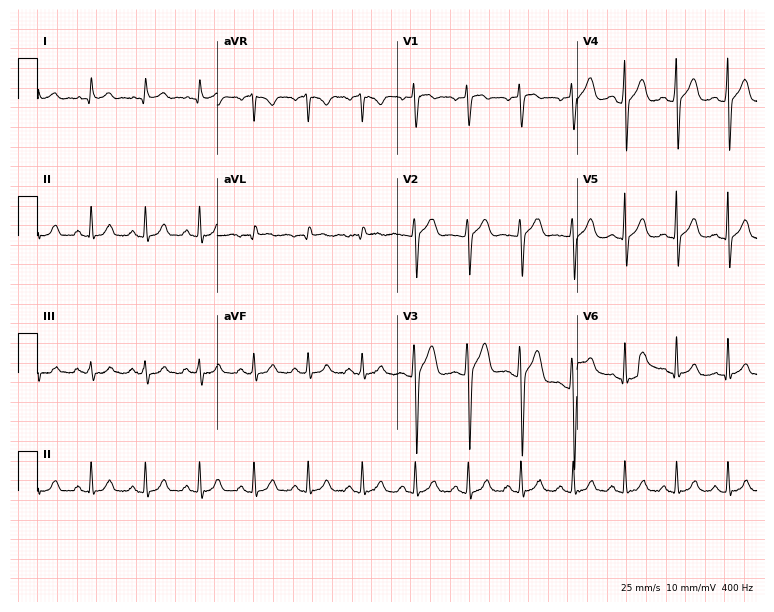
ECG — a 24-year-old male. Screened for six findings — first-degree AV block, right bundle branch block, left bundle branch block, sinus bradycardia, atrial fibrillation, sinus tachycardia — none is recorded. Findings outside these six are not listed.